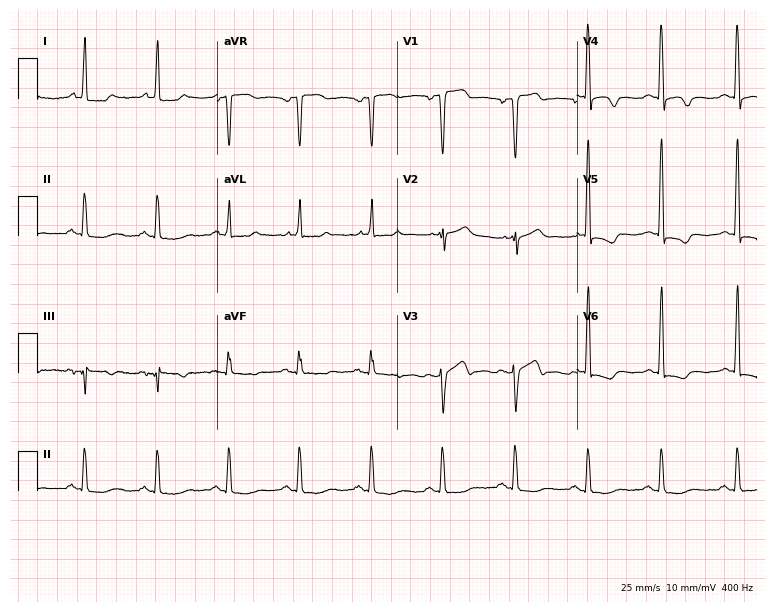
12-lead ECG from a 71-year-old female patient. No first-degree AV block, right bundle branch block, left bundle branch block, sinus bradycardia, atrial fibrillation or sinus tachycardia recorded for this tracing.